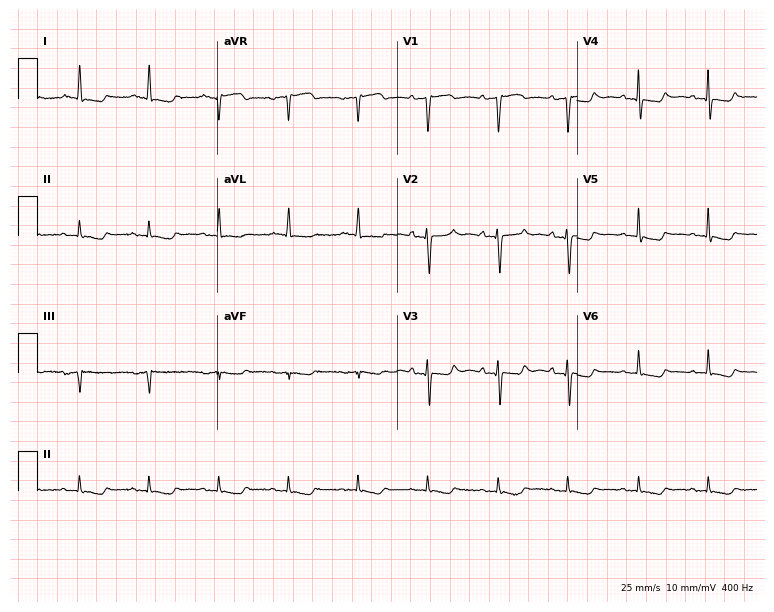
Standard 12-lead ECG recorded from a man, 77 years old (7.3-second recording at 400 Hz). None of these six findings is recorded: first-degree AV block, right bundle branch block (RBBB), left bundle branch block (LBBB), sinus bradycardia, atrial fibrillation (AF), sinus tachycardia. Only these six findings were labelled.